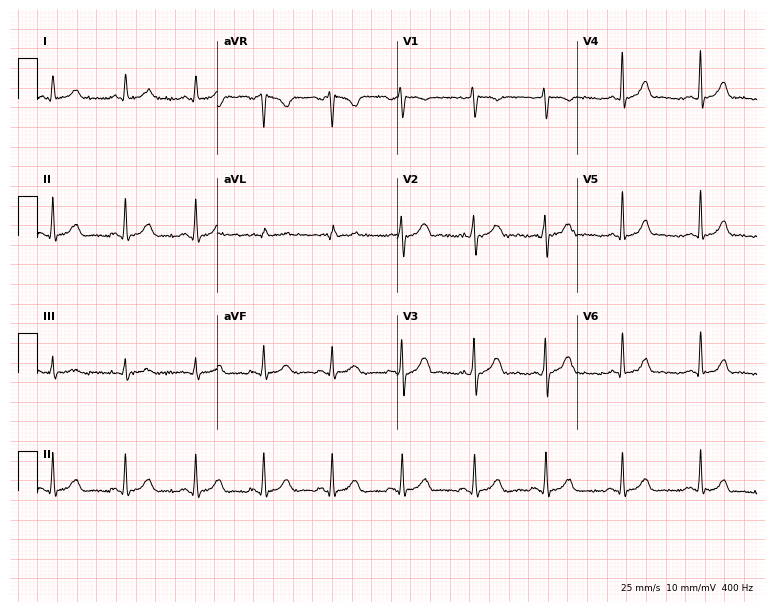
12-lead ECG from a 25-year-old female patient (7.3-second recording at 400 Hz). Recorded interpretation: within normal limits.